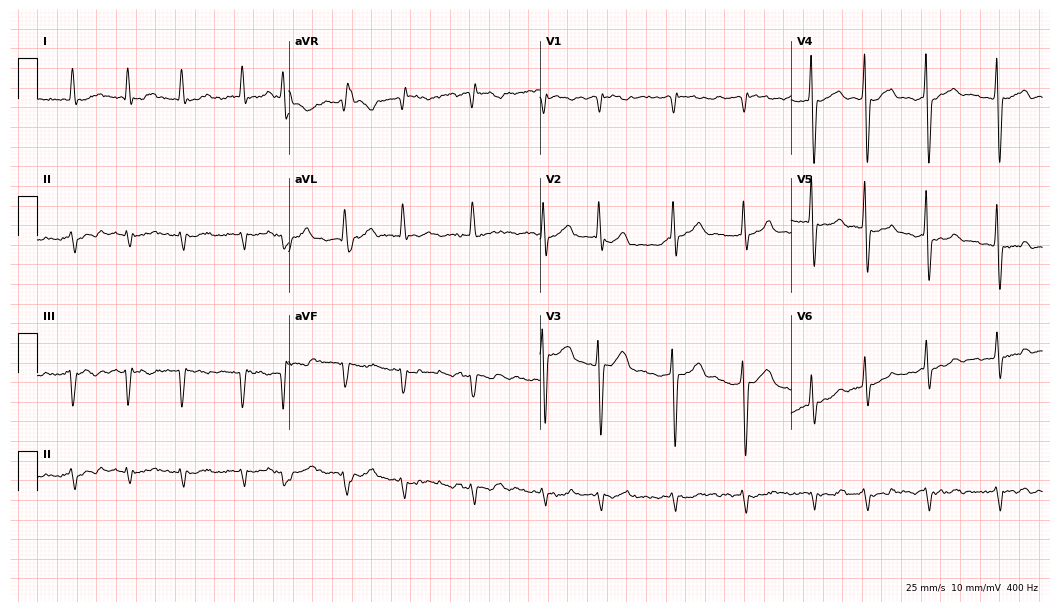
12-lead ECG (10.2-second recording at 400 Hz) from an 82-year-old man. Findings include atrial fibrillation.